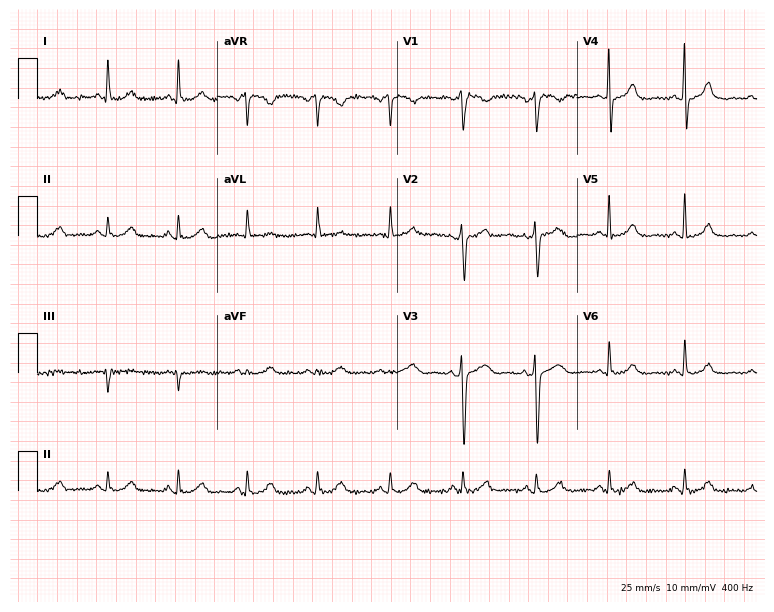
12-lead ECG from a 51-year-old female patient (7.3-second recording at 400 Hz). Recorded interpretation: within normal limits.